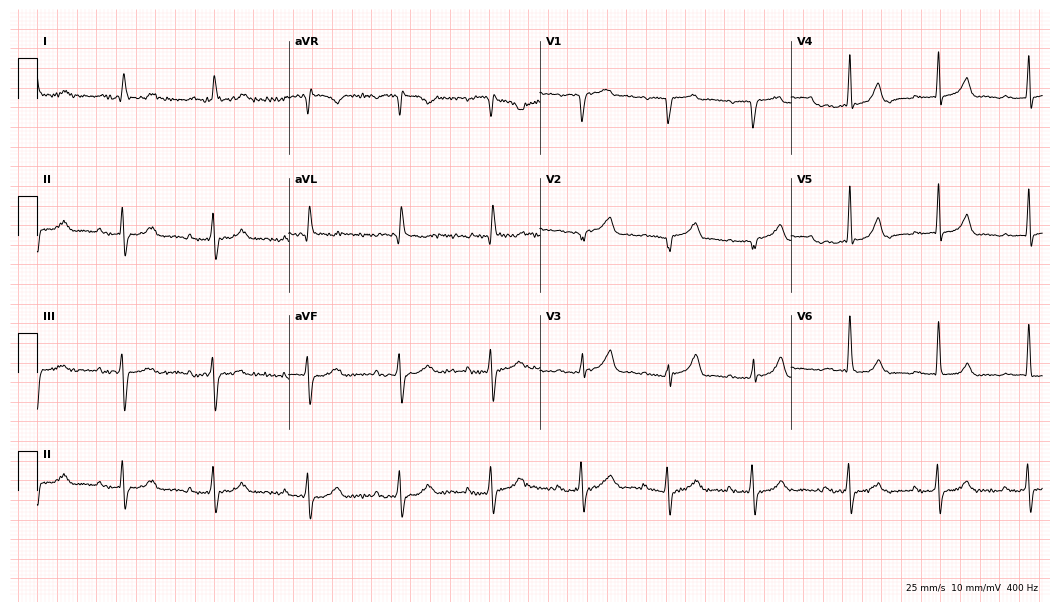
12-lead ECG from a man, 81 years old. Findings include first-degree AV block.